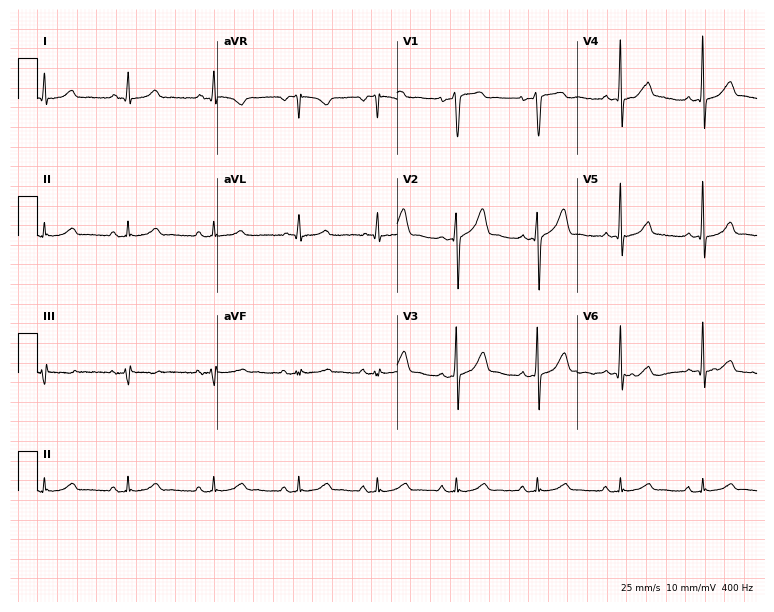
ECG (7.3-second recording at 400 Hz) — a 41-year-old male. Labelled as a normal ECG.